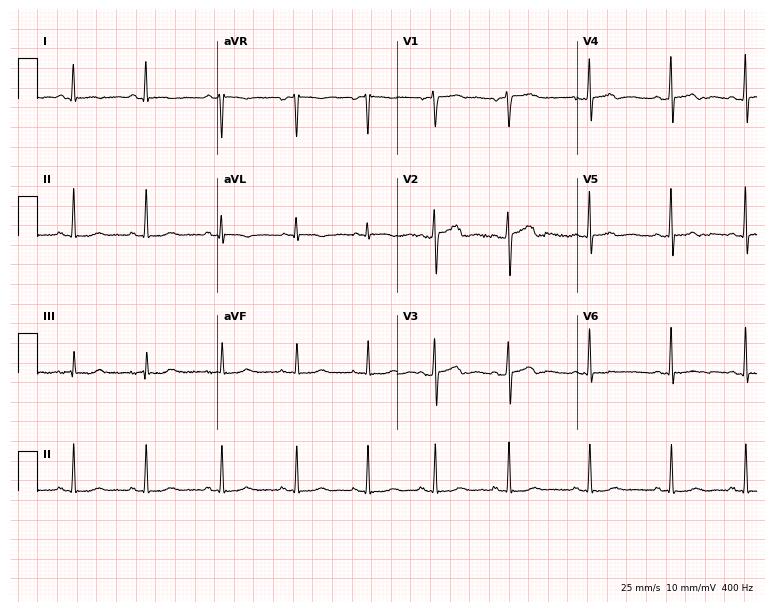
12-lead ECG from a female patient, 23 years old. Screened for six findings — first-degree AV block, right bundle branch block (RBBB), left bundle branch block (LBBB), sinus bradycardia, atrial fibrillation (AF), sinus tachycardia — none is recorded. Findings outside these six are not listed.